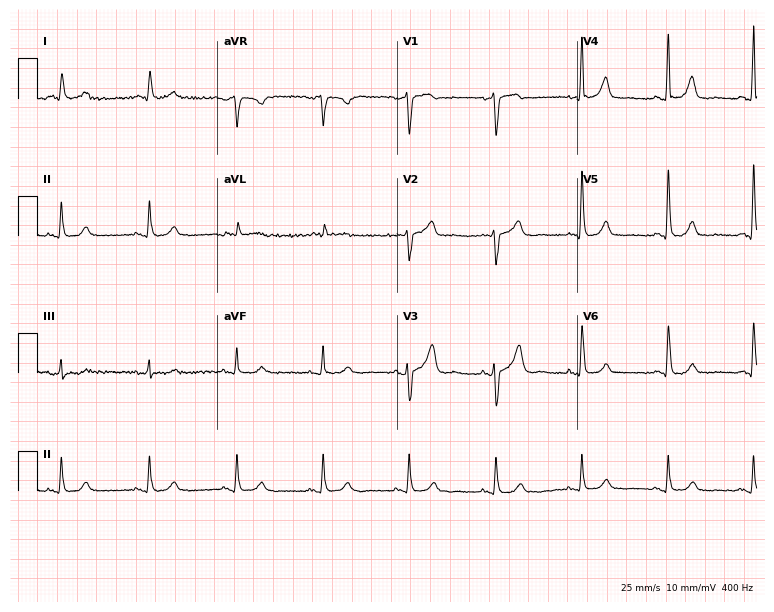
Electrocardiogram, a man, 78 years old. Overall reading on record: normal ECG.